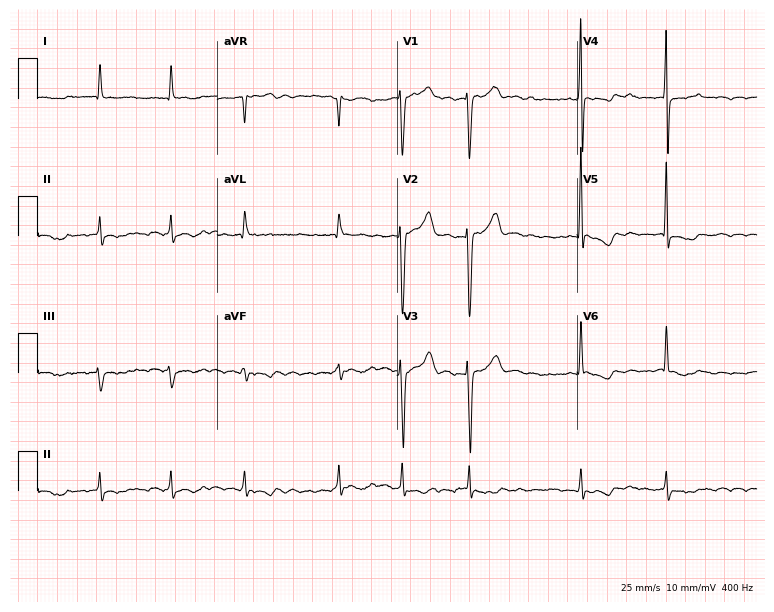
12-lead ECG from a 72-year-old male. No first-degree AV block, right bundle branch block (RBBB), left bundle branch block (LBBB), sinus bradycardia, atrial fibrillation (AF) or sinus tachycardia recorded for this tracing. Only these six findings were labelled.